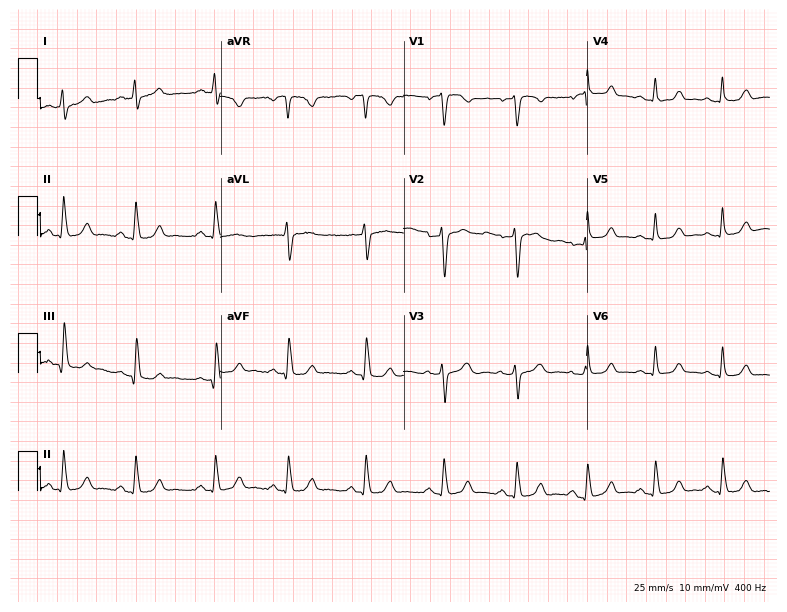
Electrocardiogram (7.5-second recording at 400 Hz), a female patient, 51 years old. Overall reading on record: normal ECG.